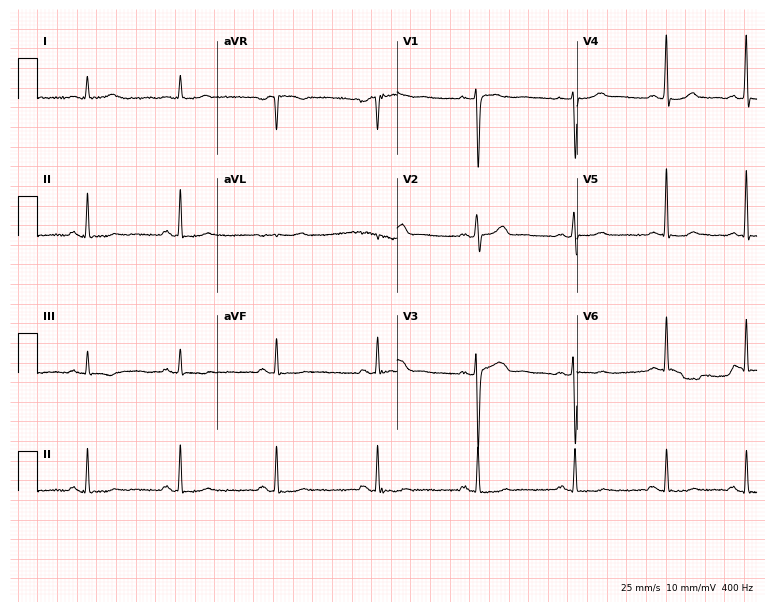
ECG — a 48-year-old woman. Screened for six findings — first-degree AV block, right bundle branch block, left bundle branch block, sinus bradycardia, atrial fibrillation, sinus tachycardia — none is recorded.